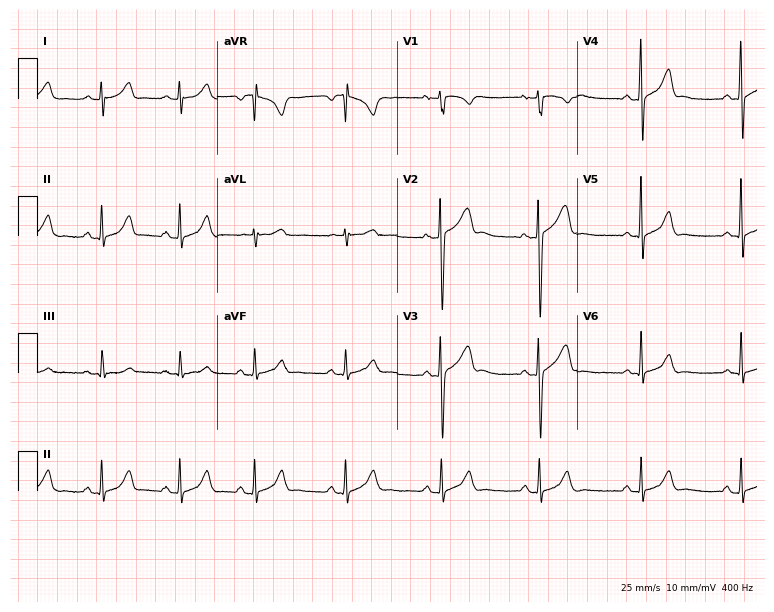
12-lead ECG from a man, 23 years old (7.3-second recording at 400 Hz). Recorded interpretation: within normal limits.